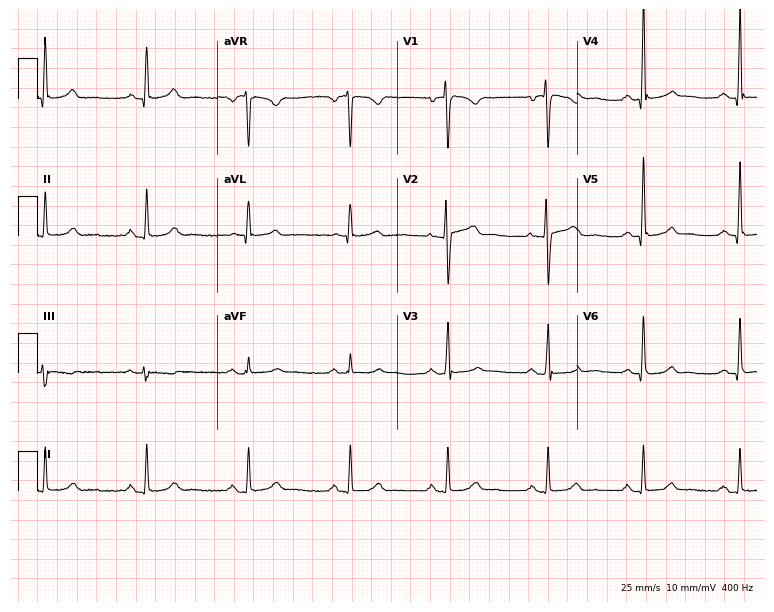
Resting 12-lead electrocardiogram. Patient: a male, 50 years old. Read as a normal ECG.